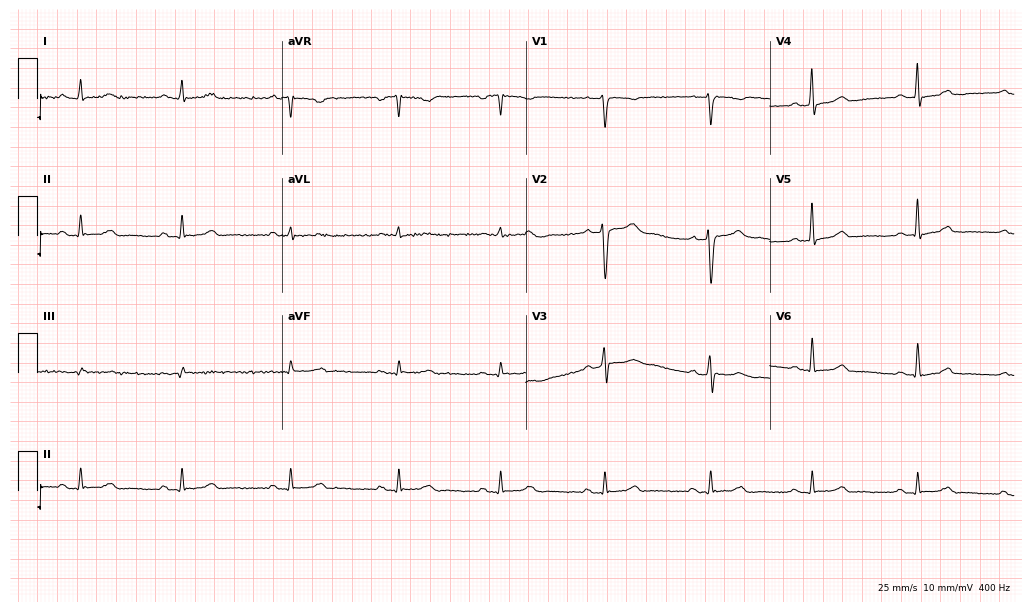
Standard 12-lead ECG recorded from a female, 39 years old. None of these six findings is recorded: first-degree AV block, right bundle branch block, left bundle branch block, sinus bradycardia, atrial fibrillation, sinus tachycardia.